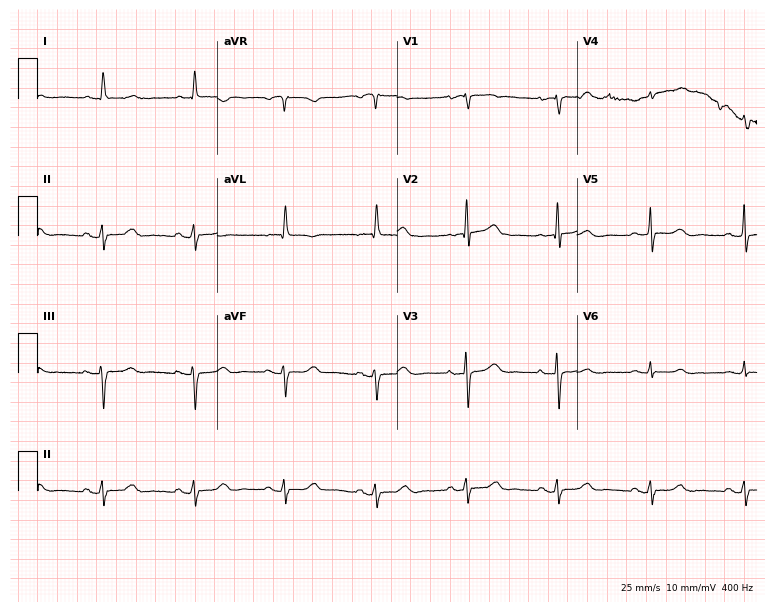
12-lead ECG from a female, 84 years old. Screened for six findings — first-degree AV block, right bundle branch block (RBBB), left bundle branch block (LBBB), sinus bradycardia, atrial fibrillation (AF), sinus tachycardia — none is recorded. Only these six findings were labelled.